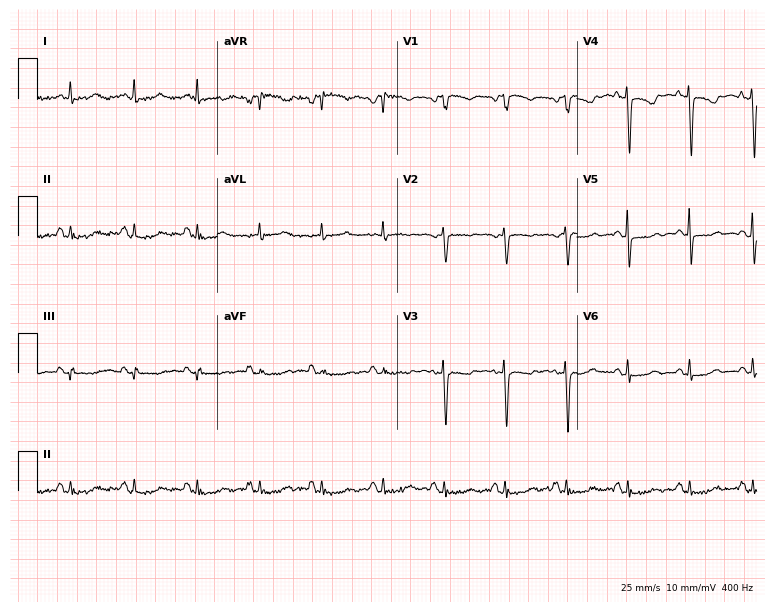
Electrocardiogram (7.3-second recording at 400 Hz), a 63-year-old woman. Of the six screened findings (first-degree AV block, right bundle branch block, left bundle branch block, sinus bradycardia, atrial fibrillation, sinus tachycardia), none is recorded. Only these six findings were labelled.